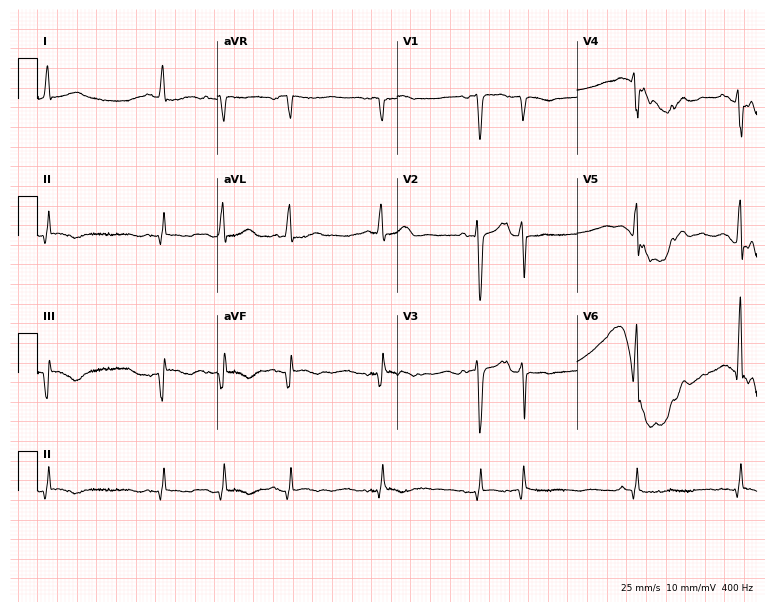
12-lead ECG from a male, 69 years old (7.3-second recording at 400 Hz). No first-degree AV block, right bundle branch block (RBBB), left bundle branch block (LBBB), sinus bradycardia, atrial fibrillation (AF) or sinus tachycardia recorded for this tracing.